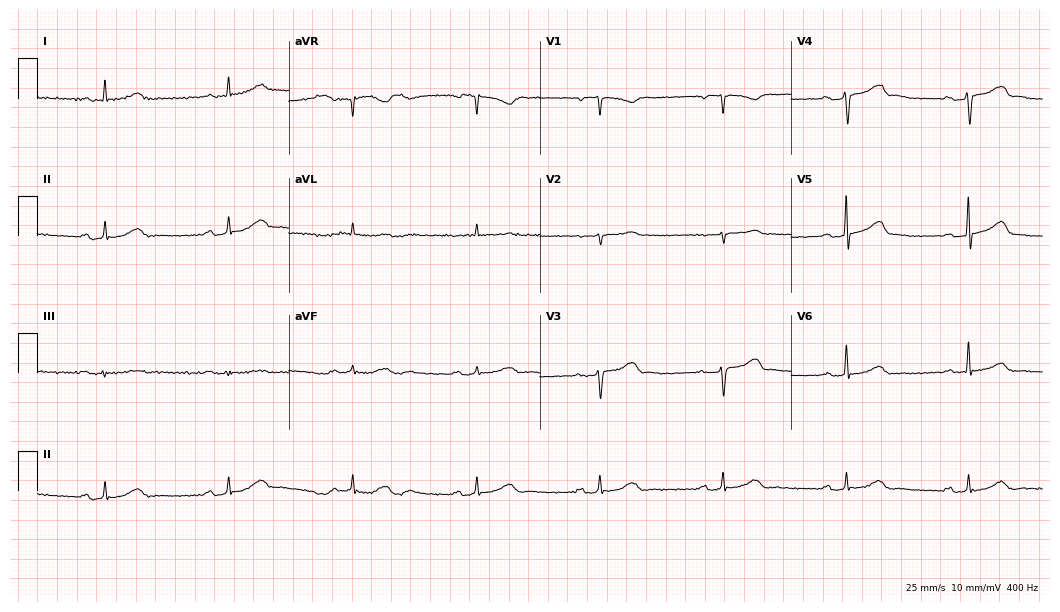
ECG (10.2-second recording at 400 Hz) — a 67-year-old man. Screened for six findings — first-degree AV block, right bundle branch block, left bundle branch block, sinus bradycardia, atrial fibrillation, sinus tachycardia — none is recorded.